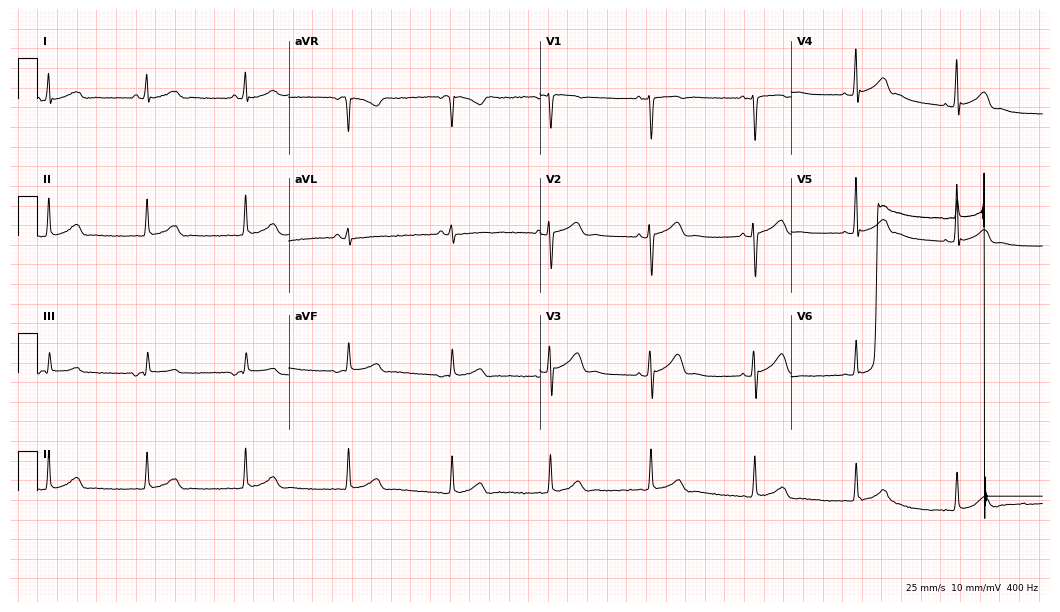
Standard 12-lead ECG recorded from a female patient, 29 years old. Read as a normal ECG.